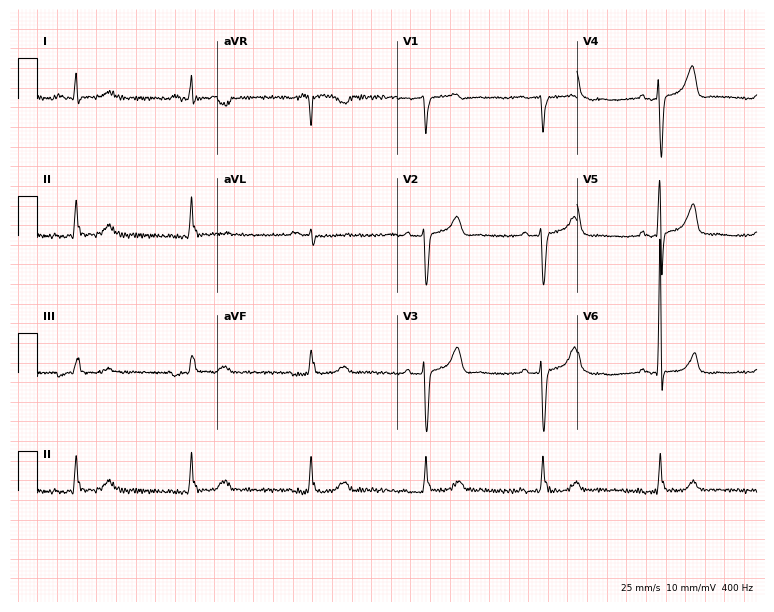
12-lead ECG from a 77-year-old male. No first-degree AV block, right bundle branch block (RBBB), left bundle branch block (LBBB), sinus bradycardia, atrial fibrillation (AF) or sinus tachycardia recorded for this tracing.